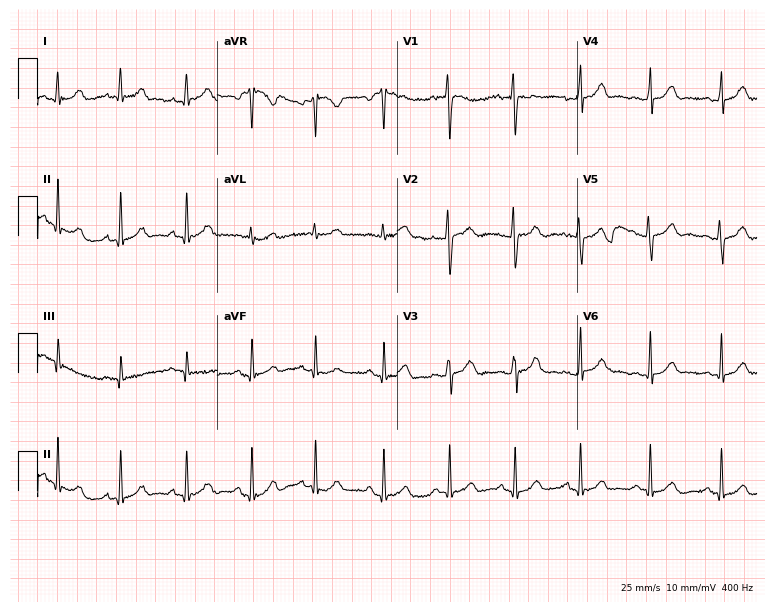
12-lead ECG from a 29-year-old female. Recorded interpretation: within normal limits.